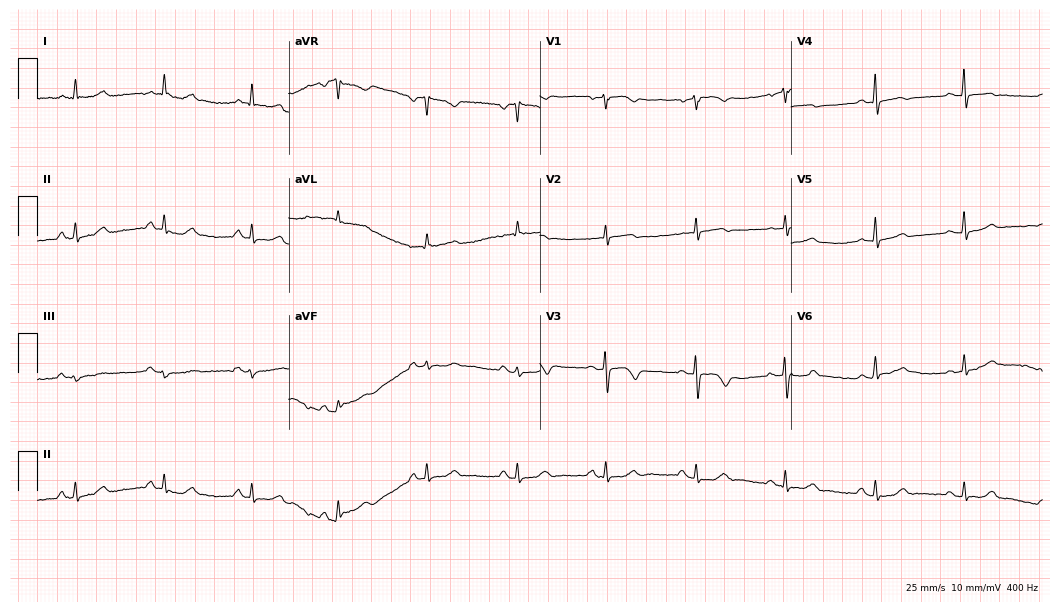
Resting 12-lead electrocardiogram (10.2-second recording at 400 Hz). Patient: a female, 76 years old. None of these six findings is recorded: first-degree AV block, right bundle branch block, left bundle branch block, sinus bradycardia, atrial fibrillation, sinus tachycardia. Only these six findings were labelled.